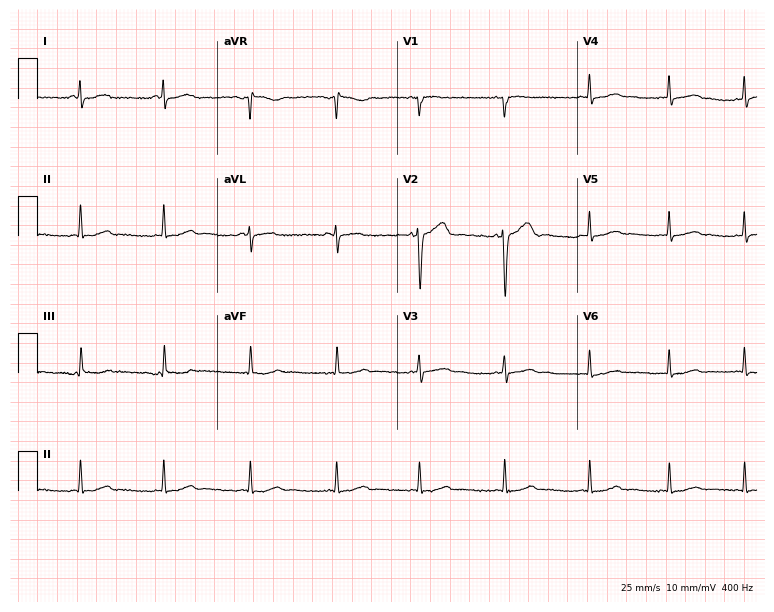
ECG — a female, 35 years old. Screened for six findings — first-degree AV block, right bundle branch block, left bundle branch block, sinus bradycardia, atrial fibrillation, sinus tachycardia — none is recorded.